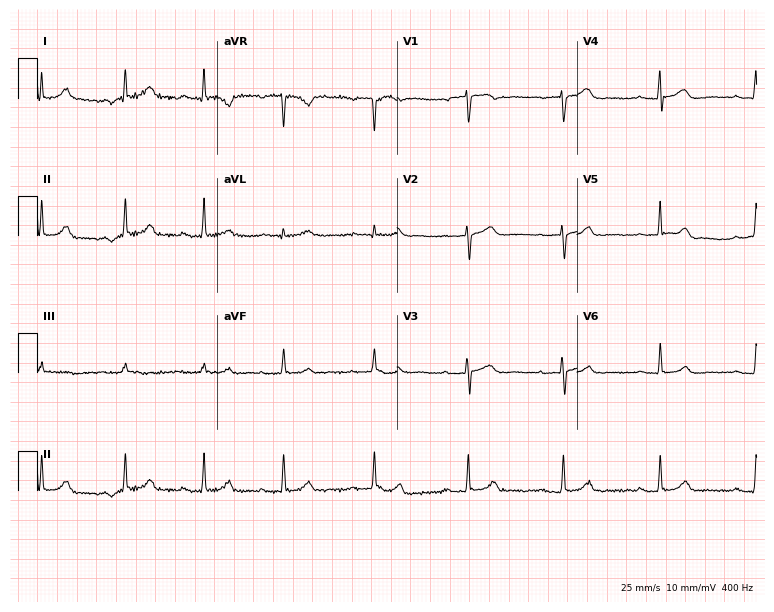
Resting 12-lead electrocardiogram. Patient: a female, 53 years old. Read as a normal ECG.